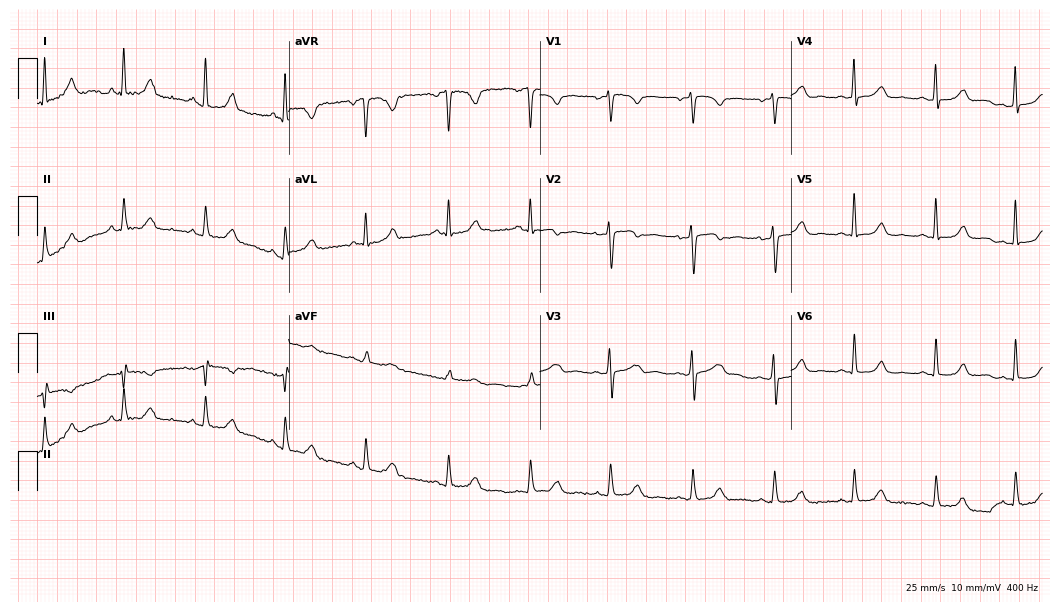
12-lead ECG from a woman, 72 years old. Labelled as a normal ECG.